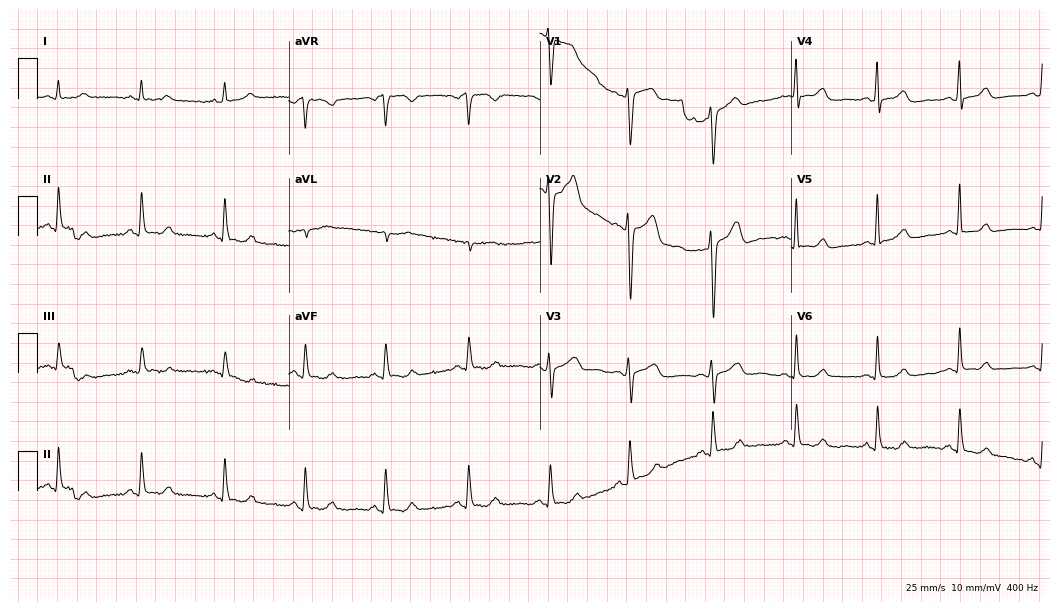
12-lead ECG from a 52-year-old female patient. Recorded interpretation: within normal limits.